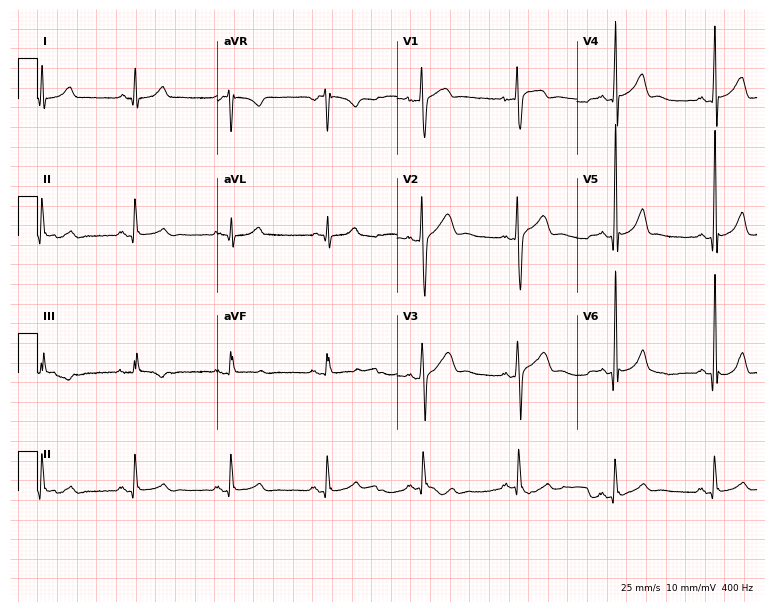
Standard 12-lead ECG recorded from a male, 40 years old (7.3-second recording at 400 Hz). Read as a normal ECG.